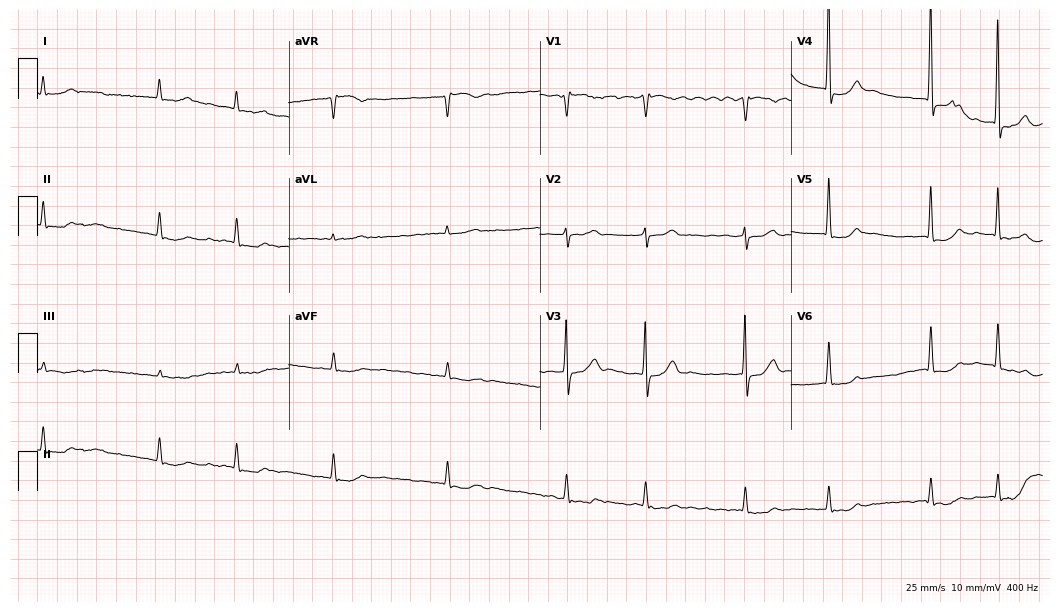
Resting 12-lead electrocardiogram. Patient: a male, 82 years old. The tracing shows atrial fibrillation.